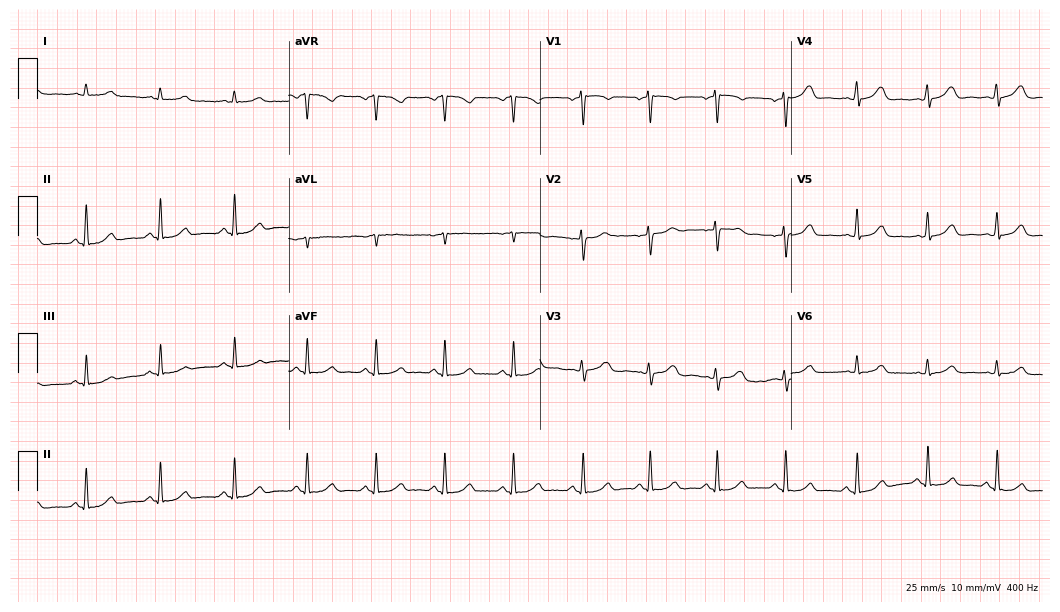
Electrocardiogram (10.2-second recording at 400 Hz), a woman, 31 years old. Of the six screened findings (first-degree AV block, right bundle branch block, left bundle branch block, sinus bradycardia, atrial fibrillation, sinus tachycardia), none is recorded. Only these six findings were labelled.